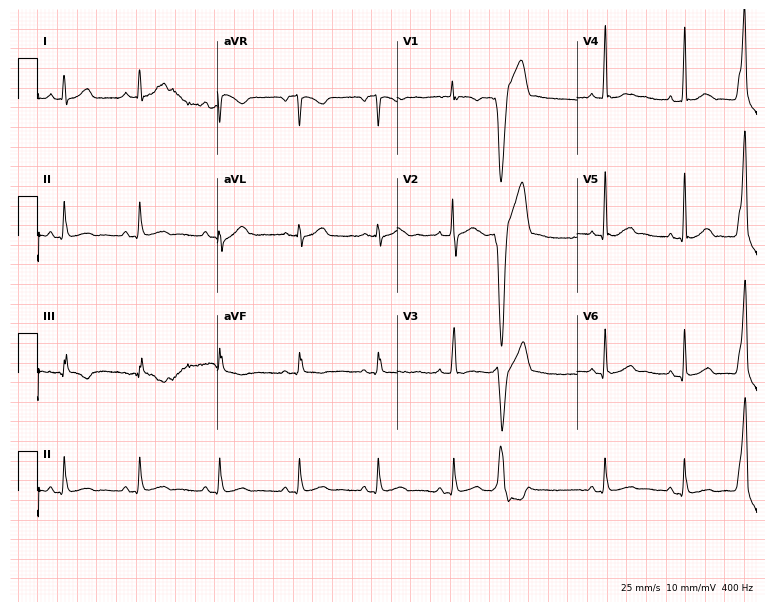
12-lead ECG from a man, 47 years old (7.3-second recording at 400 Hz). No first-degree AV block, right bundle branch block, left bundle branch block, sinus bradycardia, atrial fibrillation or sinus tachycardia recorded for this tracing. Findings outside these six are not listed.